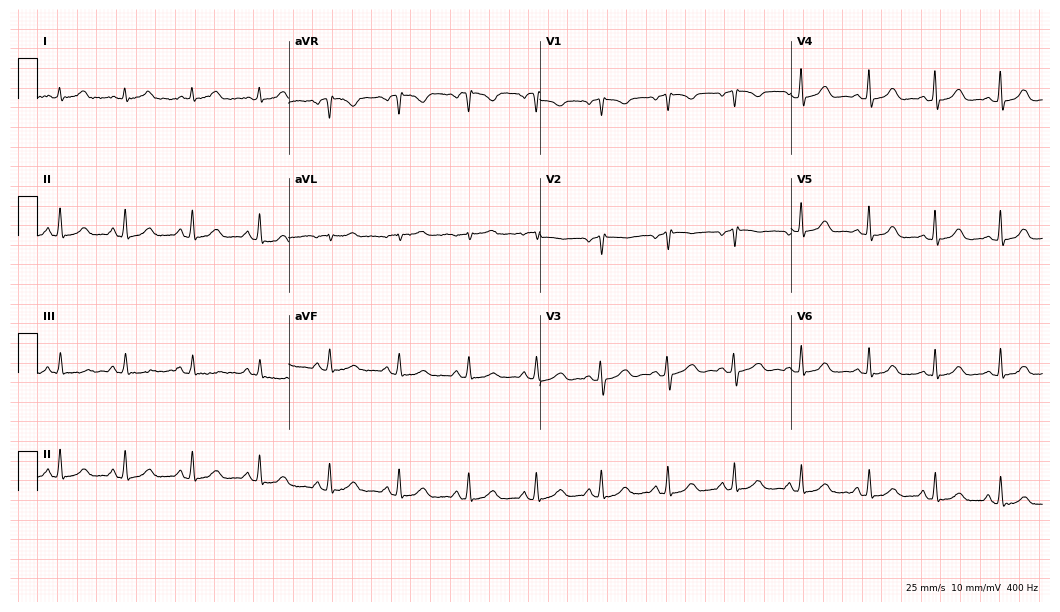
Electrocardiogram, a 35-year-old female. Of the six screened findings (first-degree AV block, right bundle branch block, left bundle branch block, sinus bradycardia, atrial fibrillation, sinus tachycardia), none is recorded. Only these six findings were labelled.